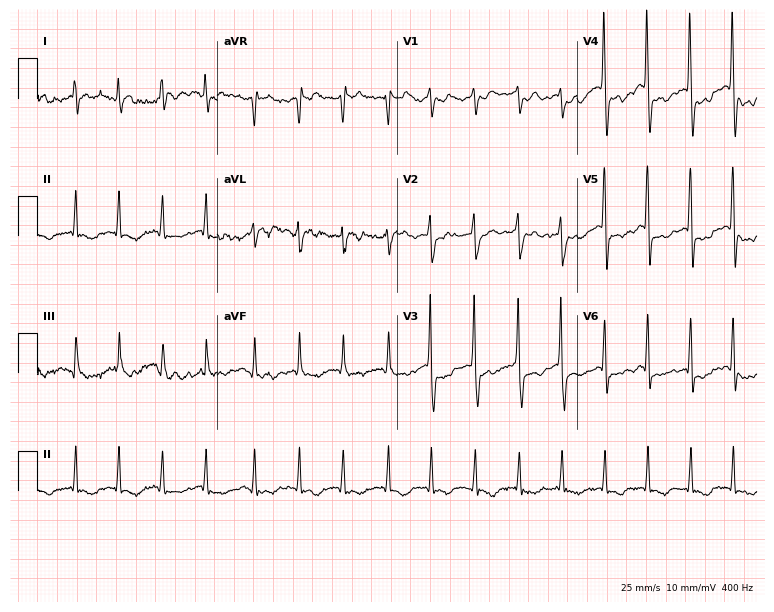
12-lead ECG from a female, 42 years old. Findings include atrial fibrillation.